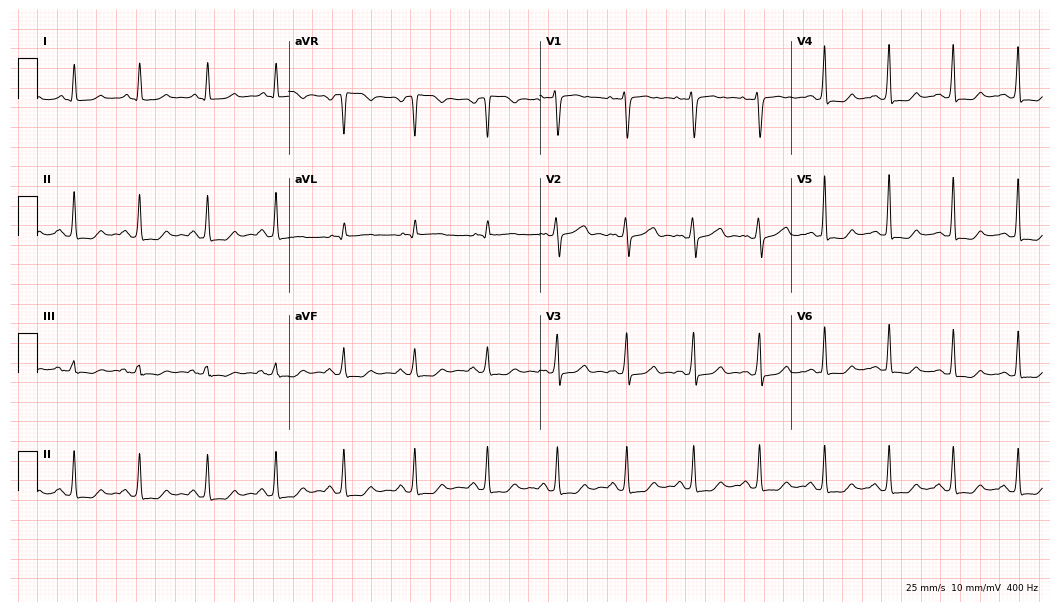
12-lead ECG from a female, 43 years old. Screened for six findings — first-degree AV block, right bundle branch block, left bundle branch block, sinus bradycardia, atrial fibrillation, sinus tachycardia — none is recorded.